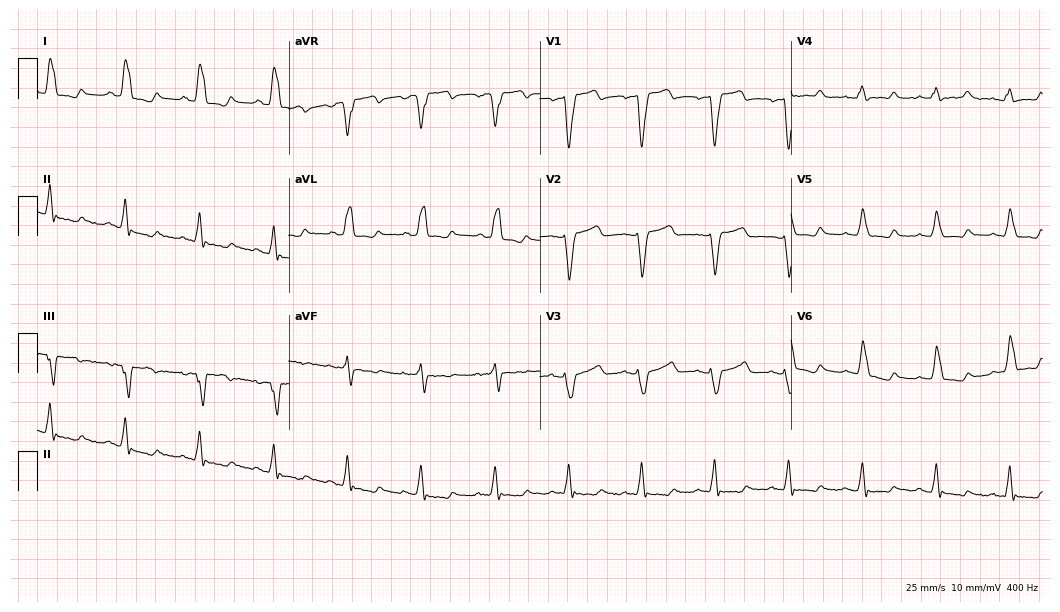
Standard 12-lead ECG recorded from a 77-year-old female patient. None of these six findings is recorded: first-degree AV block, right bundle branch block, left bundle branch block, sinus bradycardia, atrial fibrillation, sinus tachycardia. Findings outside these six are not listed.